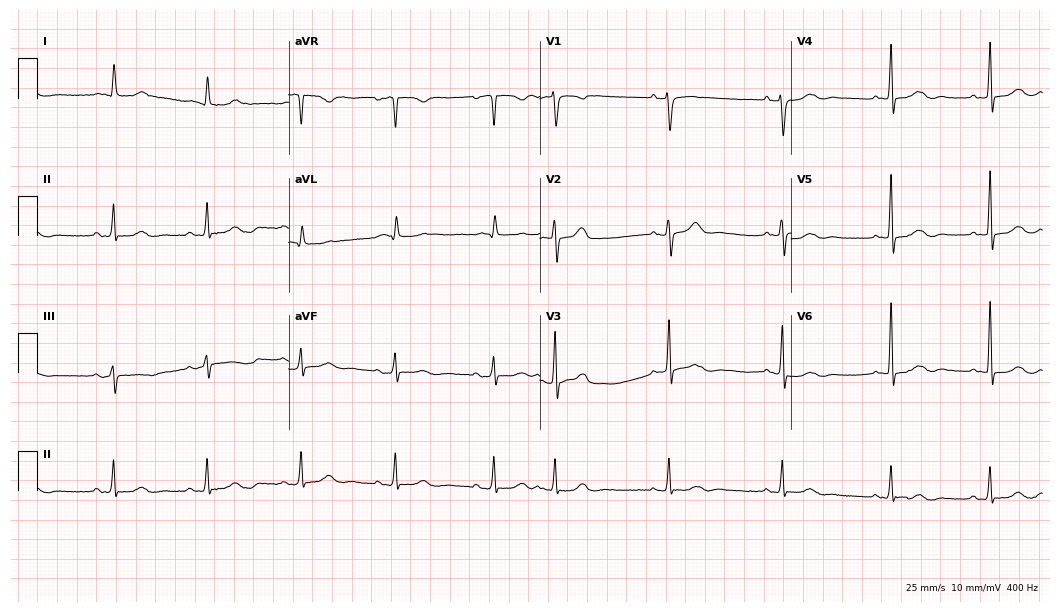
ECG — a female patient, 78 years old. Labelled as a normal ECG.